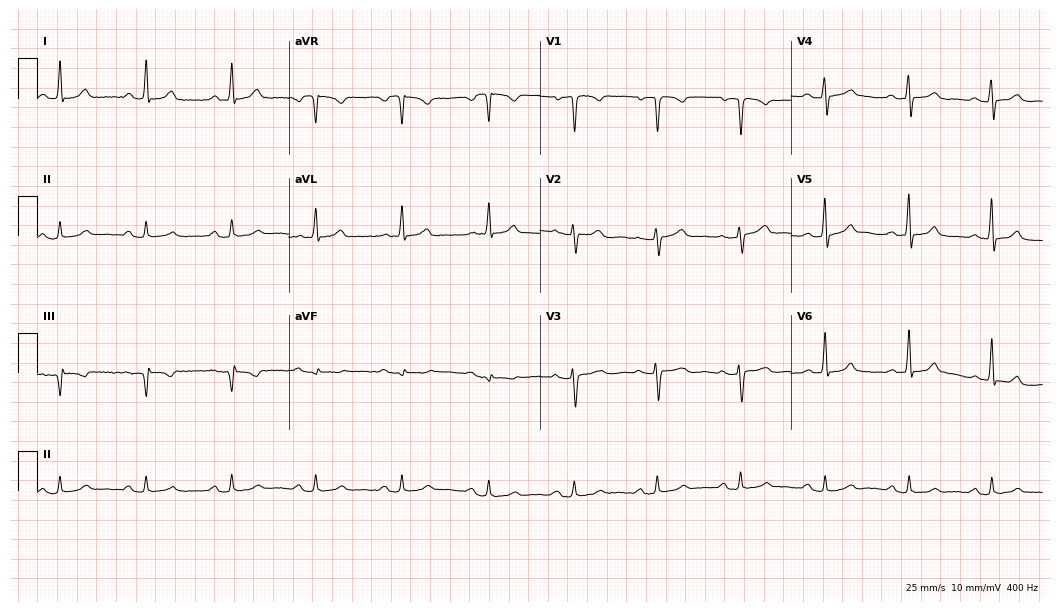
Resting 12-lead electrocardiogram (10.2-second recording at 400 Hz). Patient: a 61-year-old woman. Read as a normal ECG.